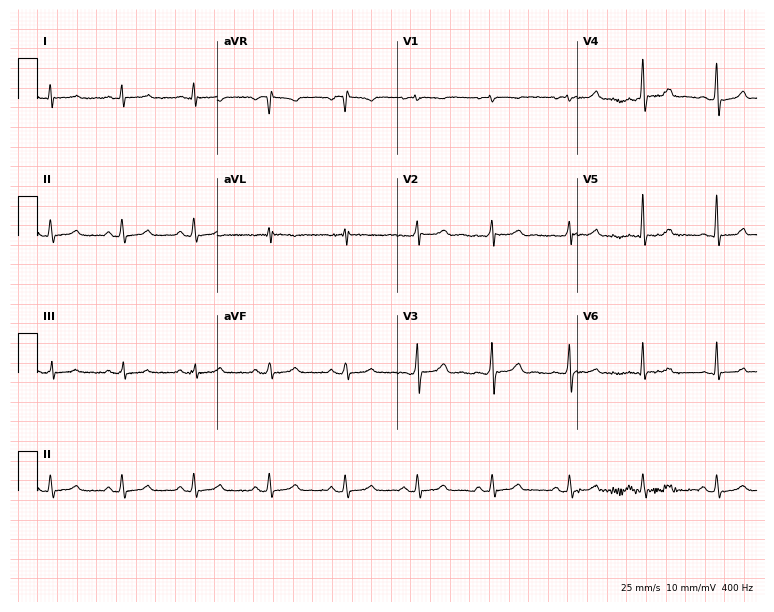
ECG (7.3-second recording at 400 Hz) — a 19-year-old female patient. Labelled as a normal ECG.